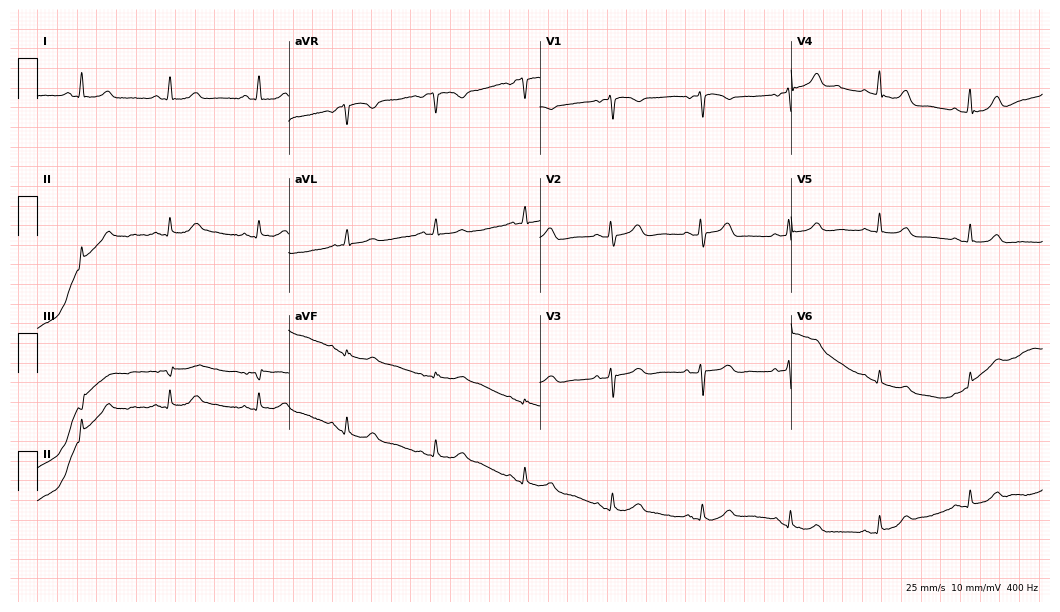
Resting 12-lead electrocardiogram. Patient: a female, 85 years old. None of these six findings is recorded: first-degree AV block, right bundle branch block, left bundle branch block, sinus bradycardia, atrial fibrillation, sinus tachycardia. Findings outside these six are not listed.